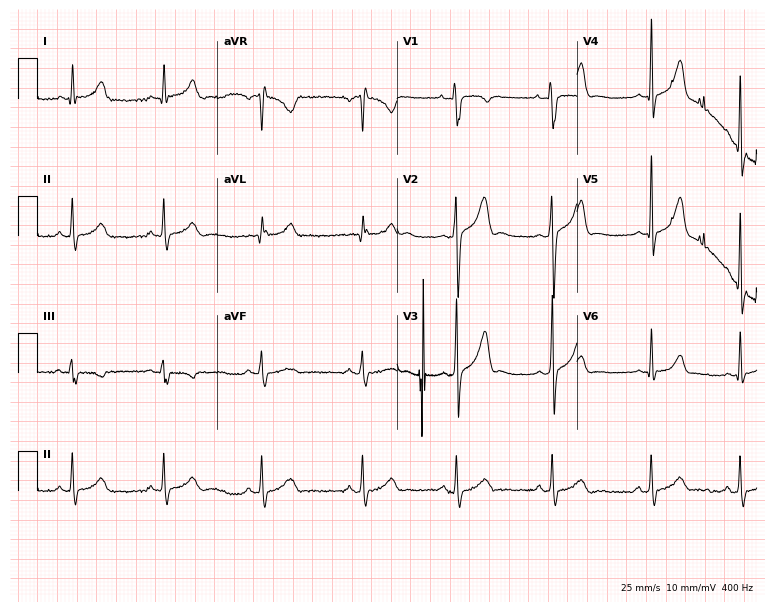
Electrocardiogram (7.3-second recording at 400 Hz), a 17-year-old male patient. Overall reading on record: normal ECG.